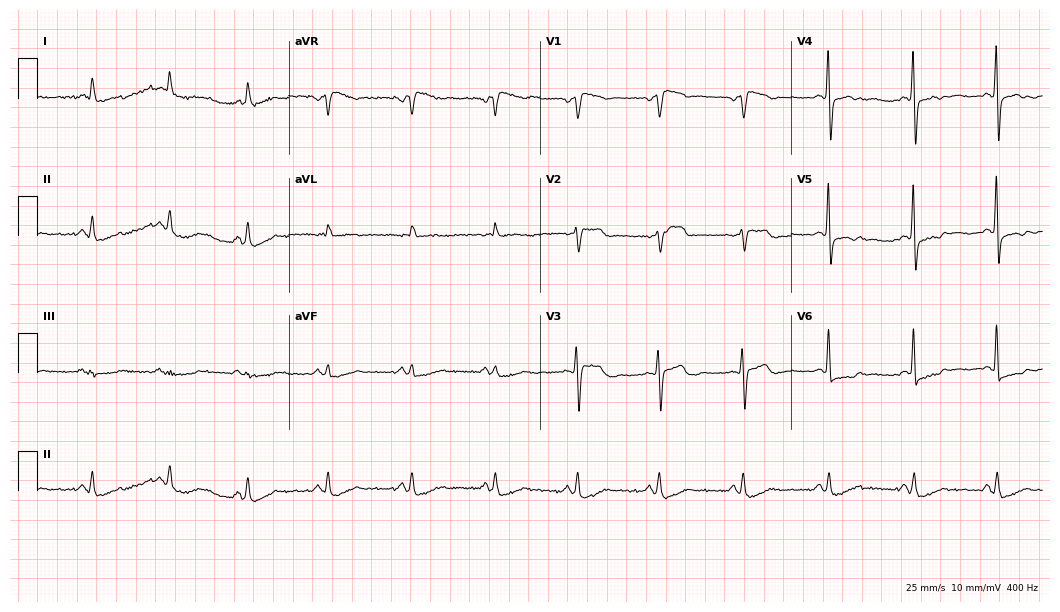
12-lead ECG (10.2-second recording at 400 Hz) from a 74-year-old male patient. Screened for six findings — first-degree AV block, right bundle branch block, left bundle branch block, sinus bradycardia, atrial fibrillation, sinus tachycardia — none is recorded. Other findings, if any, are not listed.